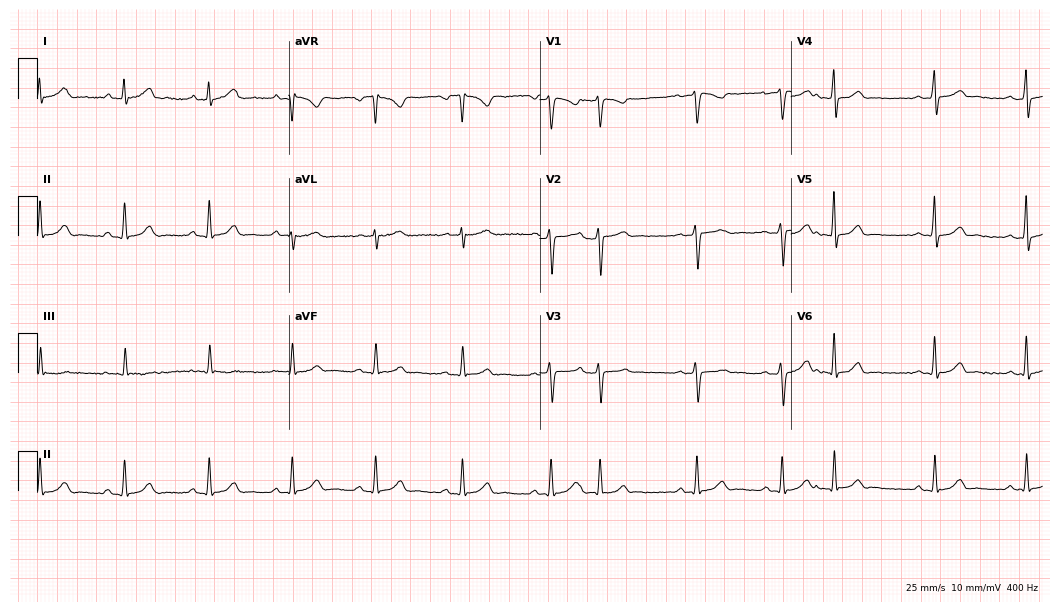
Standard 12-lead ECG recorded from a 36-year-old woman. None of these six findings is recorded: first-degree AV block, right bundle branch block, left bundle branch block, sinus bradycardia, atrial fibrillation, sinus tachycardia.